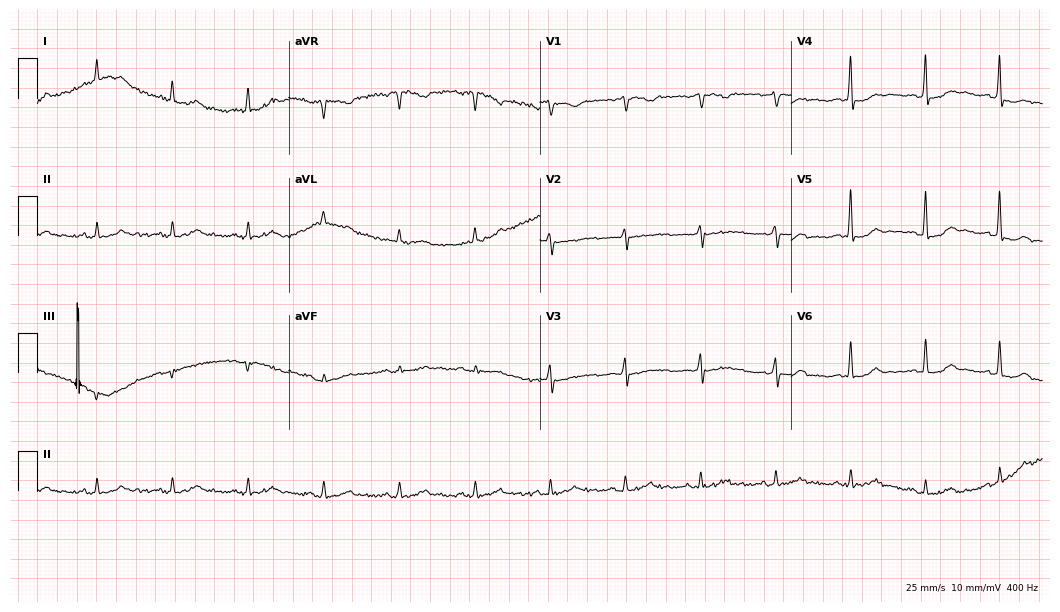
Resting 12-lead electrocardiogram. Patient: a male, 71 years old. Read as a normal ECG.